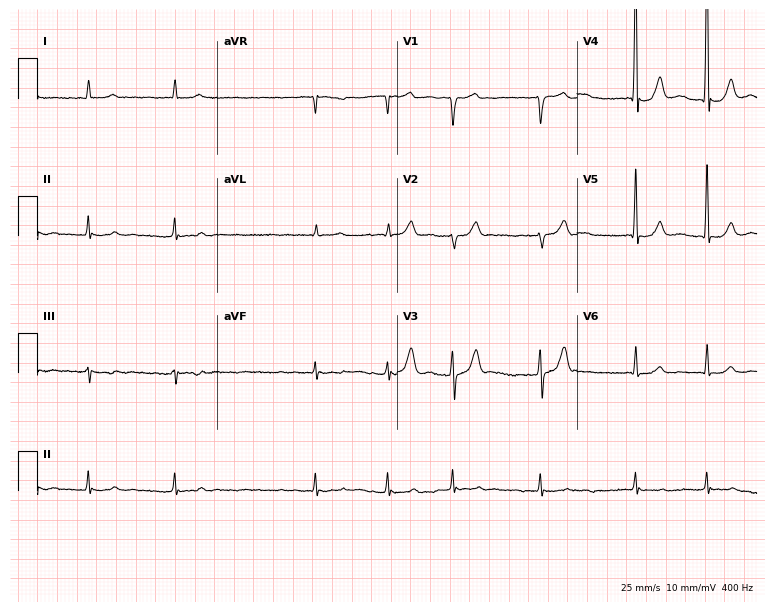
Resting 12-lead electrocardiogram (7.3-second recording at 400 Hz). Patient: a male, 85 years old. The tracing shows atrial fibrillation.